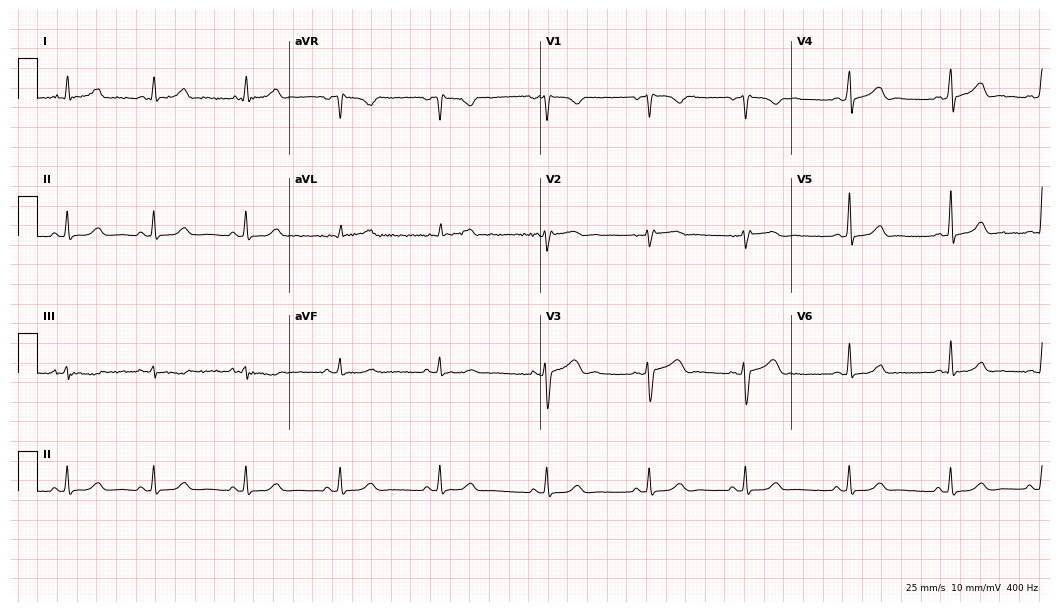
Standard 12-lead ECG recorded from a female patient, 33 years old. Read as a normal ECG.